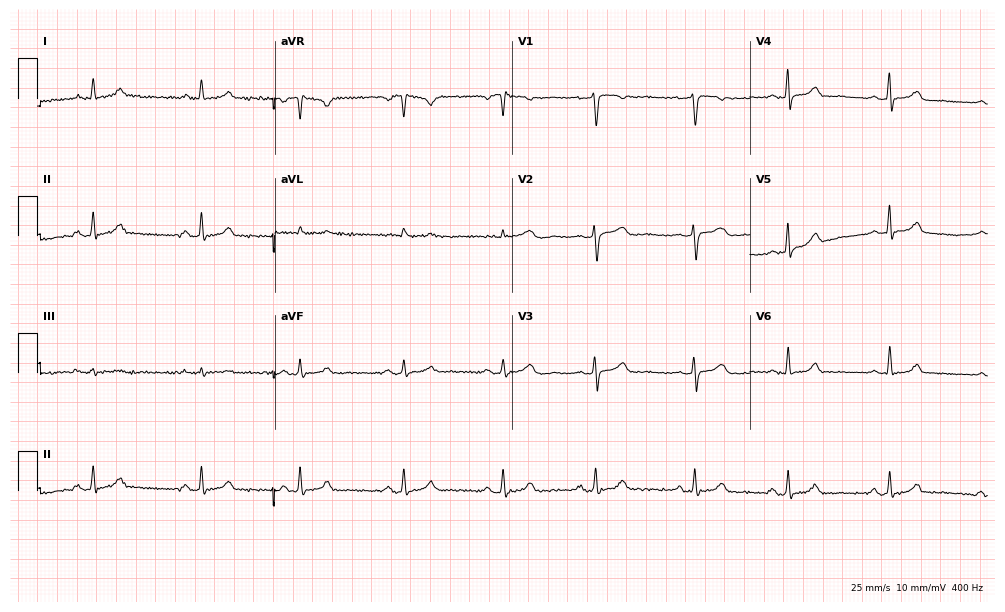
ECG — a woman, 27 years old. Labelled as a normal ECG.